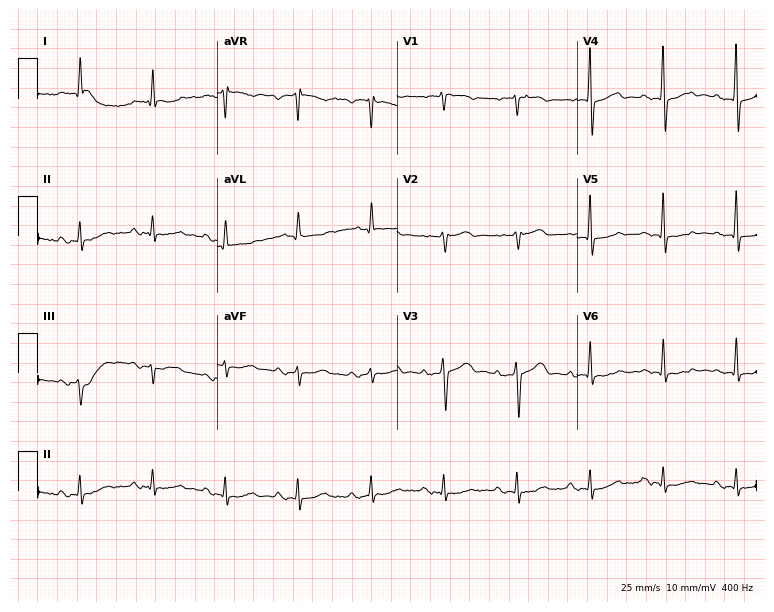
Resting 12-lead electrocardiogram. Patient: a woman, 79 years old. None of these six findings is recorded: first-degree AV block, right bundle branch block (RBBB), left bundle branch block (LBBB), sinus bradycardia, atrial fibrillation (AF), sinus tachycardia.